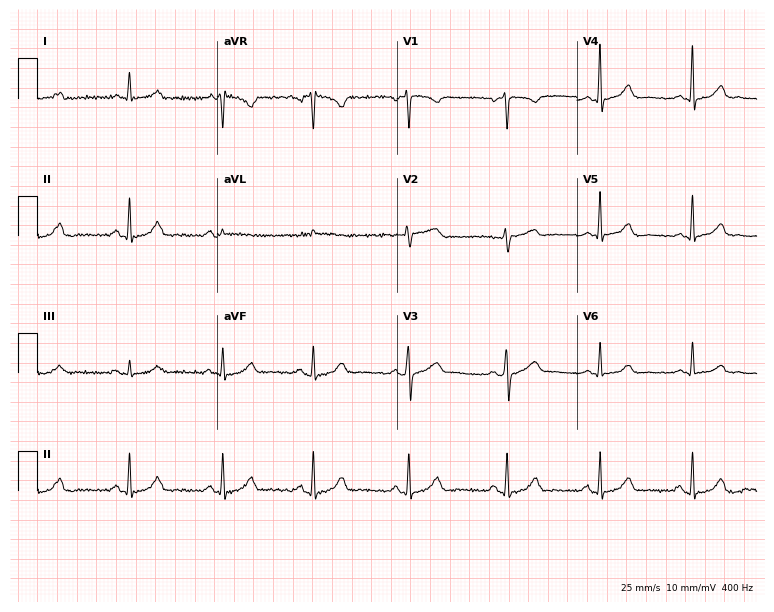
Resting 12-lead electrocardiogram. Patient: a 45-year-old female. Read as a normal ECG.